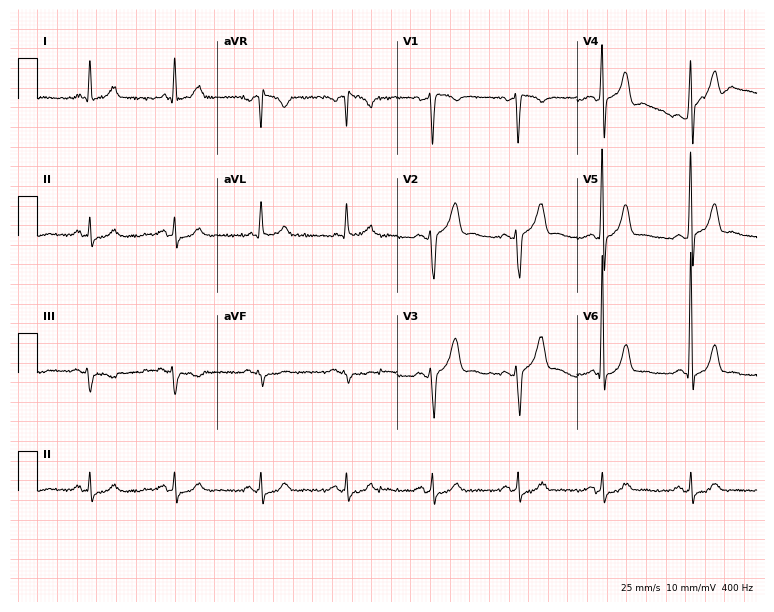
Standard 12-lead ECG recorded from a 52-year-old male patient (7.3-second recording at 400 Hz). Read as a normal ECG.